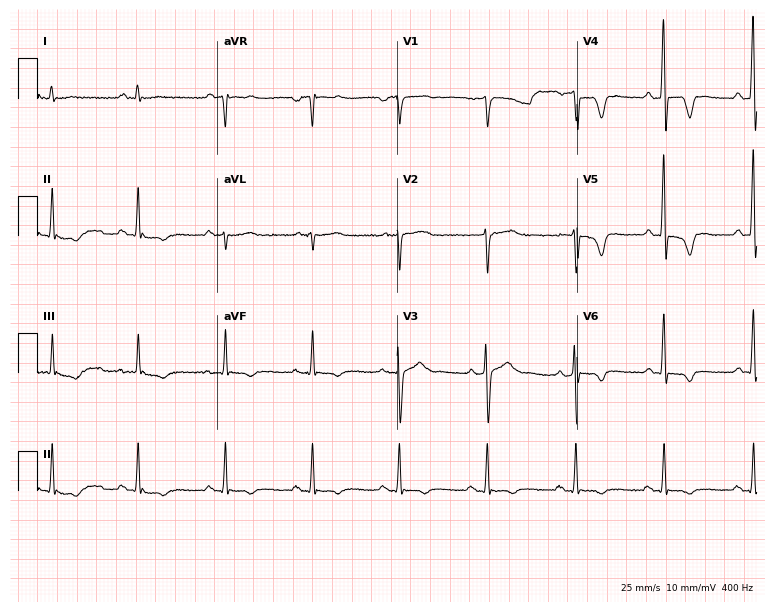
12-lead ECG from a 62-year-old man. Screened for six findings — first-degree AV block, right bundle branch block, left bundle branch block, sinus bradycardia, atrial fibrillation, sinus tachycardia — none is recorded.